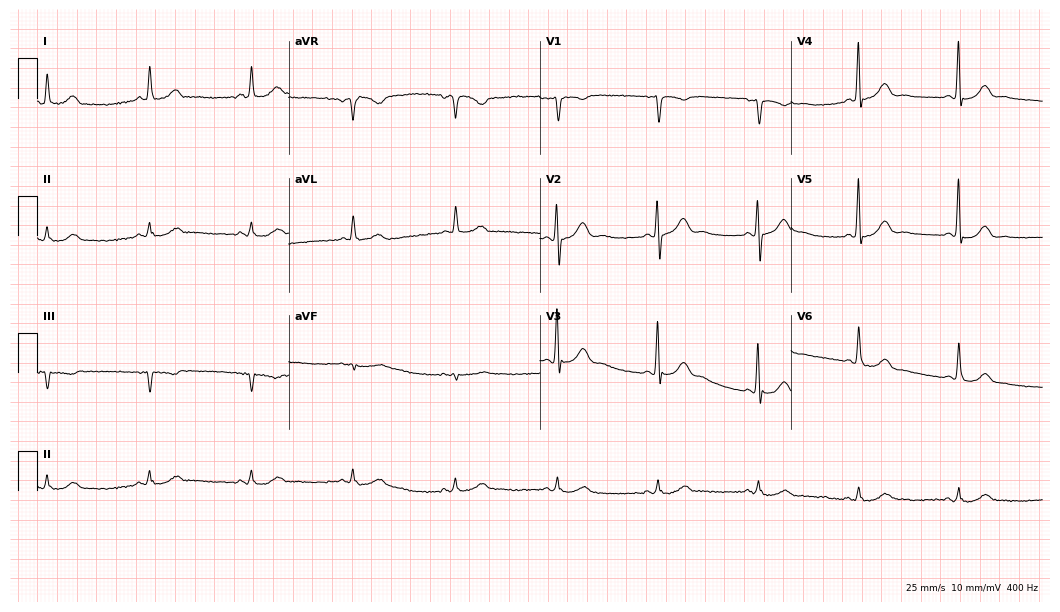
ECG (10.2-second recording at 400 Hz) — a male, 67 years old. Screened for six findings — first-degree AV block, right bundle branch block, left bundle branch block, sinus bradycardia, atrial fibrillation, sinus tachycardia — none is recorded. Findings outside these six are not listed.